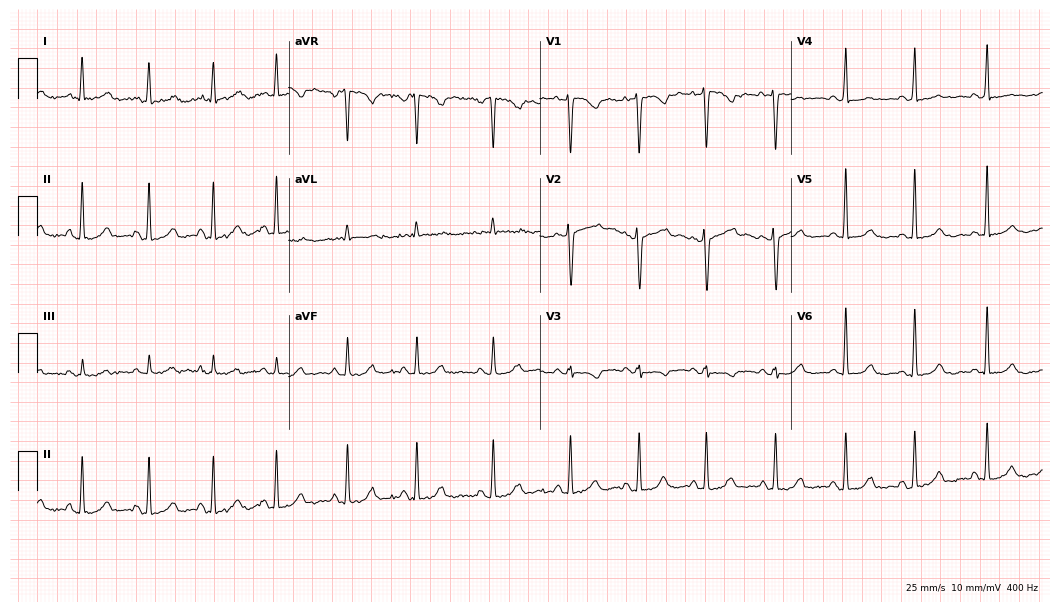
12-lead ECG from a 36-year-old female patient. Recorded interpretation: within normal limits.